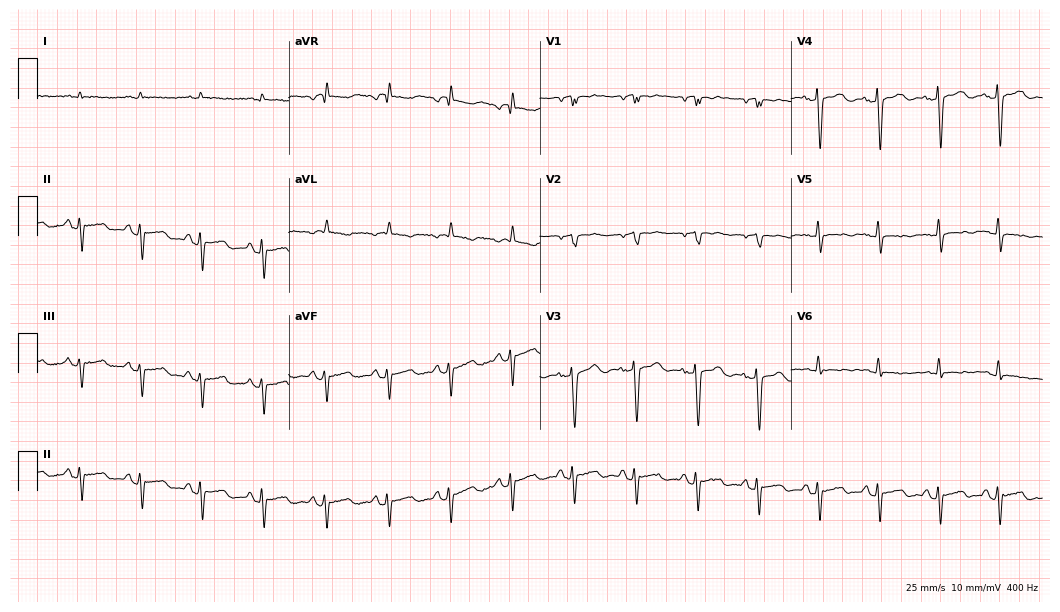
ECG — a 64-year-old male. Screened for six findings — first-degree AV block, right bundle branch block, left bundle branch block, sinus bradycardia, atrial fibrillation, sinus tachycardia — none is recorded.